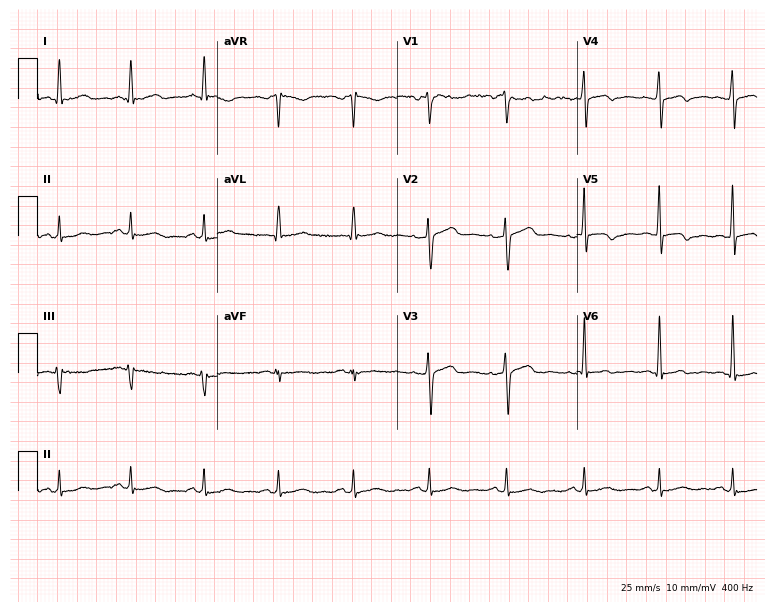
Electrocardiogram (7.3-second recording at 400 Hz), a 44-year-old male. Overall reading on record: normal ECG.